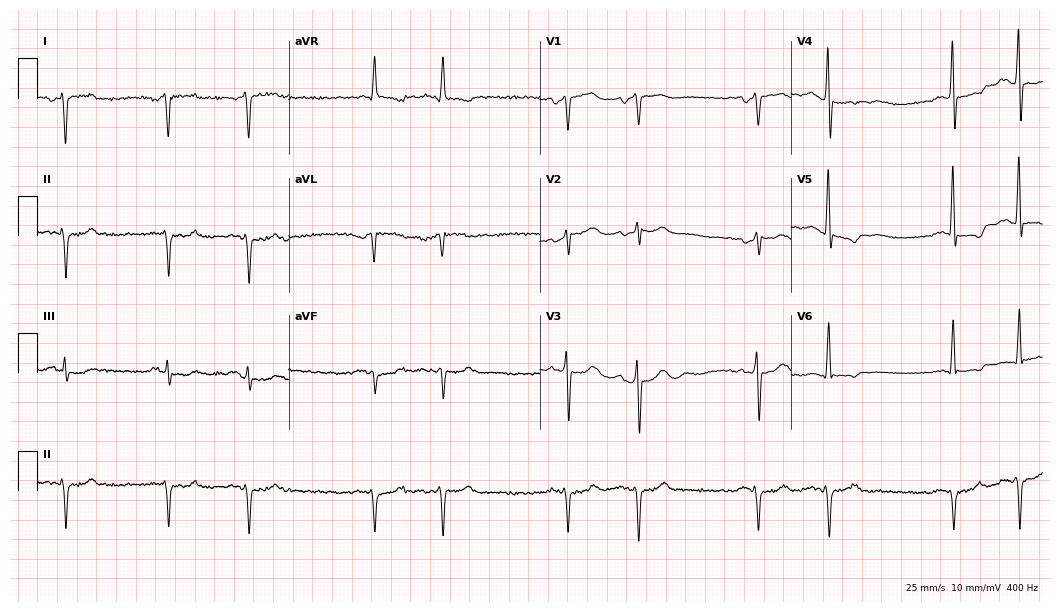
12-lead ECG from a 73-year-old male (10.2-second recording at 400 Hz). No first-degree AV block, right bundle branch block, left bundle branch block, sinus bradycardia, atrial fibrillation or sinus tachycardia recorded for this tracing.